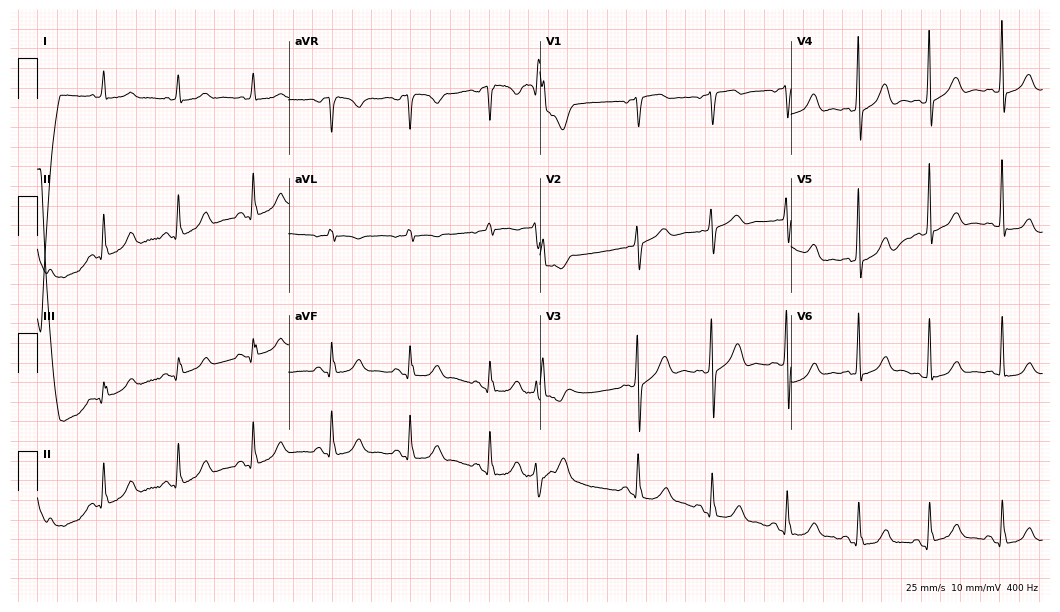
Resting 12-lead electrocardiogram (10.2-second recording at 400 Hz). Patient: a female, 82 years old. None of these six findings is recorded: first-degree AV block, right bundle branch block (RBBB), left bundle branch block (LBBB), sinus bradycardia, atrial fibrillation (AF), sinus tachycardia. Only these six findings were labelled.